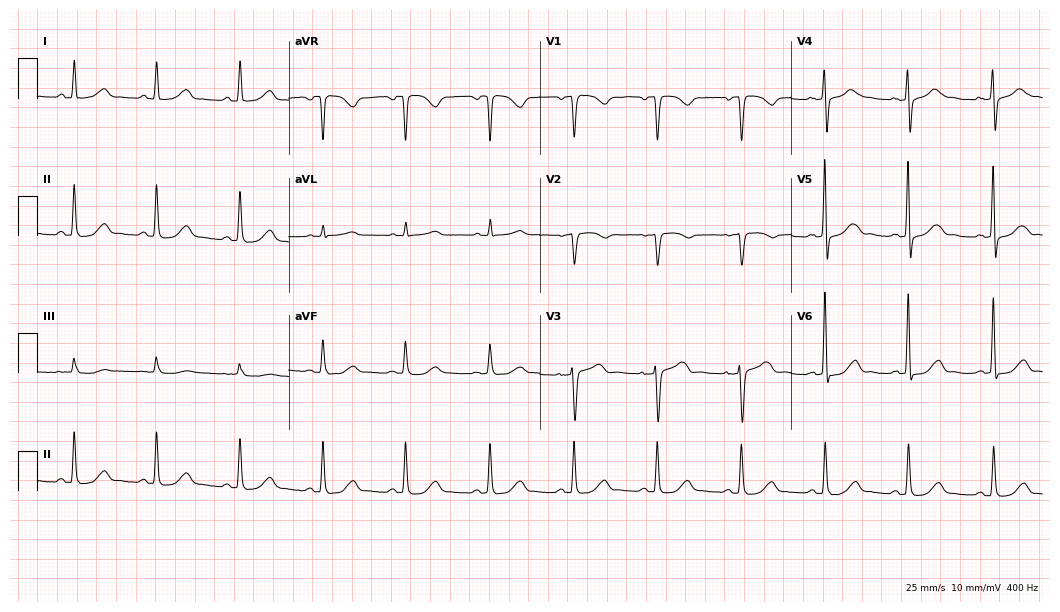
Electrocardiogram, a woman, 60 years old. Overall reading on record: normal ECG.